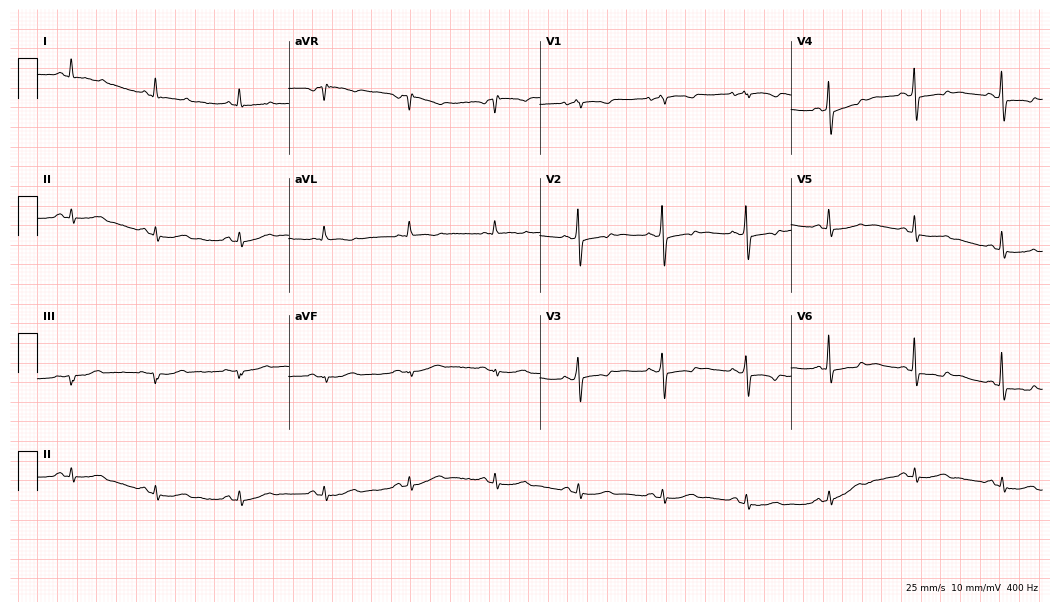
Standard 12-lead ECG recorded from a female patient, 74 years old. None of these six findings is recorded: first-degree AV block, right bundle branch block (RBBB), left bundle branch block (LBBB), sinus bradycardia, atrial fibrillation (AF), sinus tachycardia. Findings outside these six are not listed.